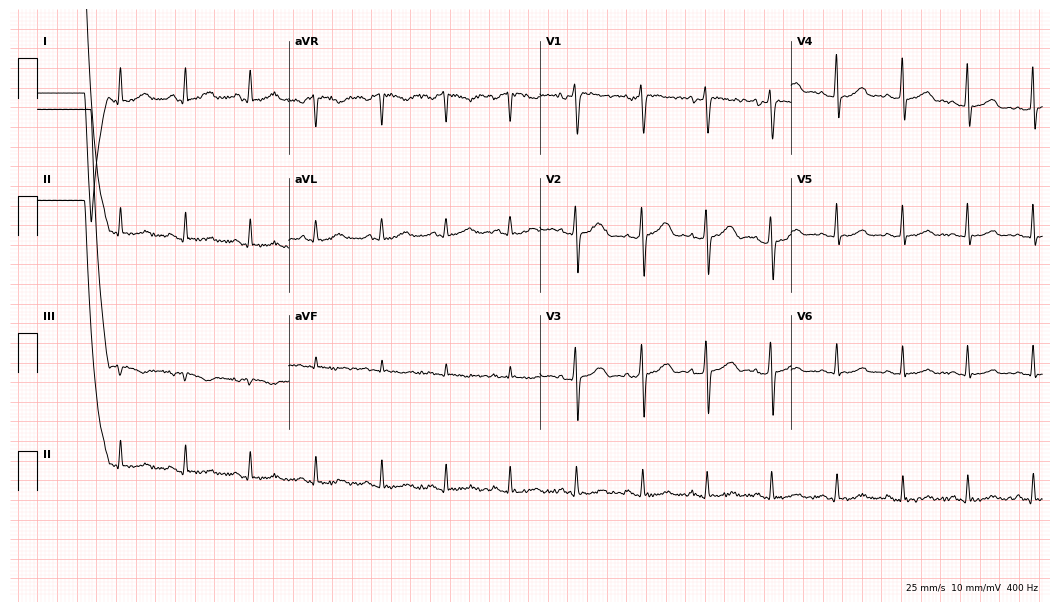
Standard 12-lead ECG recorded from a woman, 42 years old. Read as a normal ECG.